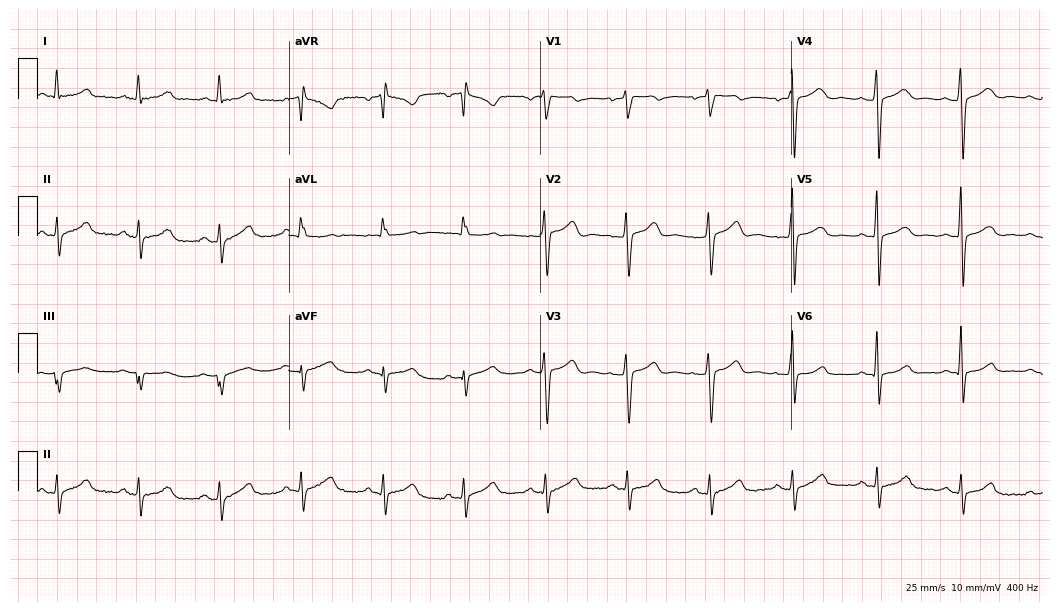
12-lead ECG from a female patient, 62 years old (10.2-second recording at 400 Hz). No first-degree AV block, right bundle branch block (RBBB), left bundle branch block (LBBB), sinus bradycardia, atrial fibrillation (AF) or sinus tachycardia recorded for this tracing.